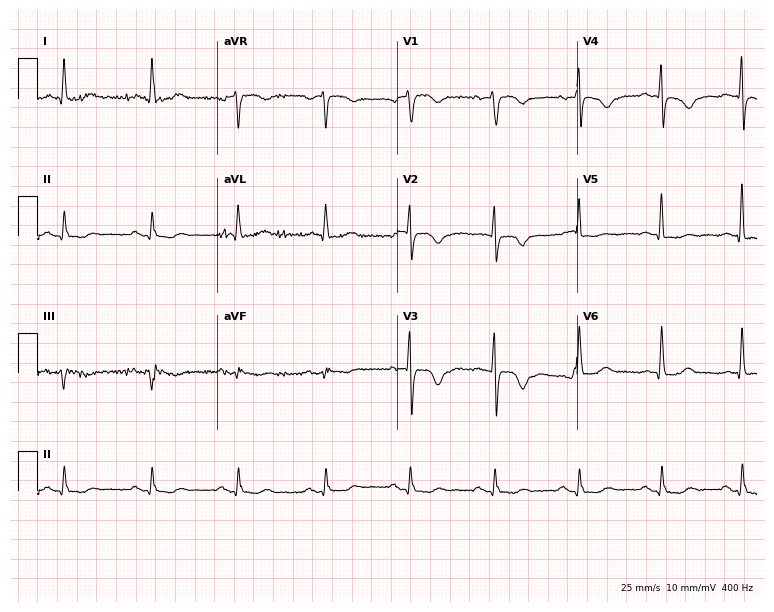
Electrocardiogram (7.3-second recording at 400 Hz), a woman, 69 years old. Of the six screened findings (first-degree AV block, right bundle branch block, left bundle branch block, sinus bradycardia, atrial fibrillation, sinus tachycardia), none is recorded.